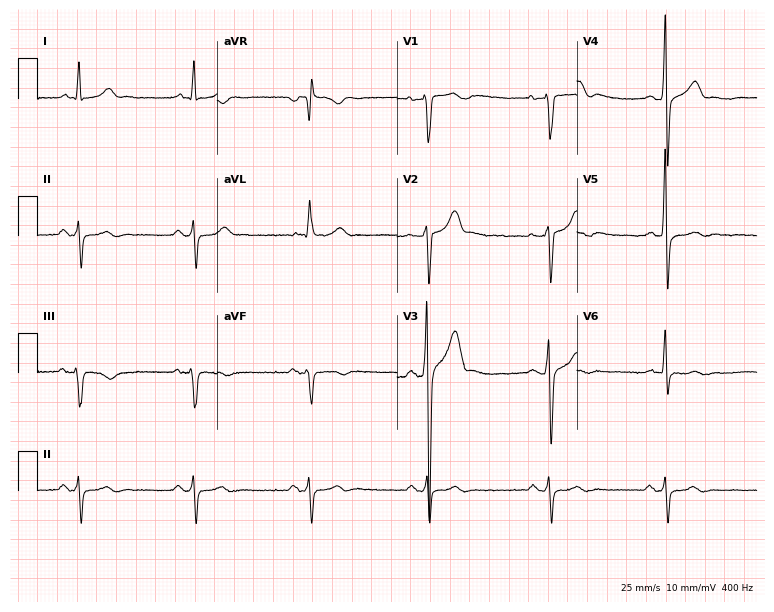
Electrocardiogram (7.3-second recording at 400 Hz), a man, 62 years old. Of the six screened findings (first-degree AV block, right bundle branch block, left bundle branch block, sinus bradycardia, atrial fibrillation, sinus tachycardia), none is recorded. Only these six findings were labelled.